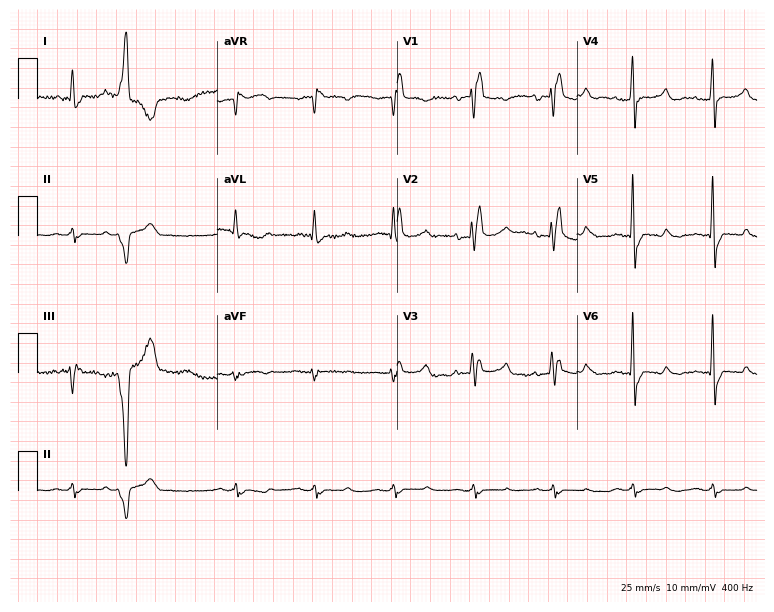
Standard 12-lead ECG recorded from a 68-year-old man (7.3-second recording at 400 Hz). The tracing shows right bundle branch block.